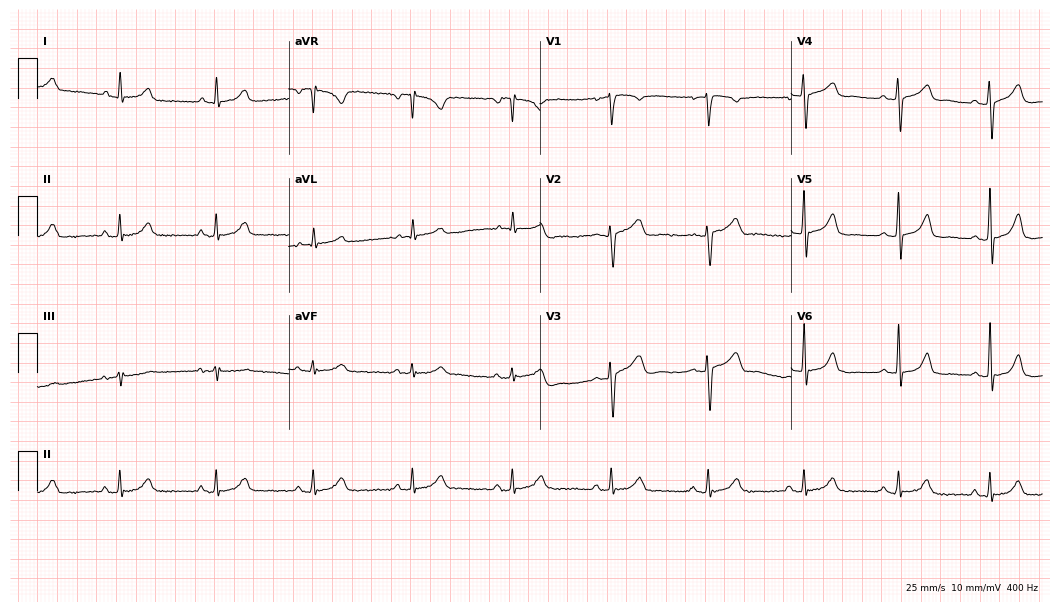
12-lead ECG from a 55-year-old female. Screened for six findings — first-degree AV block, right bundle branch block, left bundle branch block, sinus bradycardia, atrial fibrillation, sinus tachycardia — none is recorded.